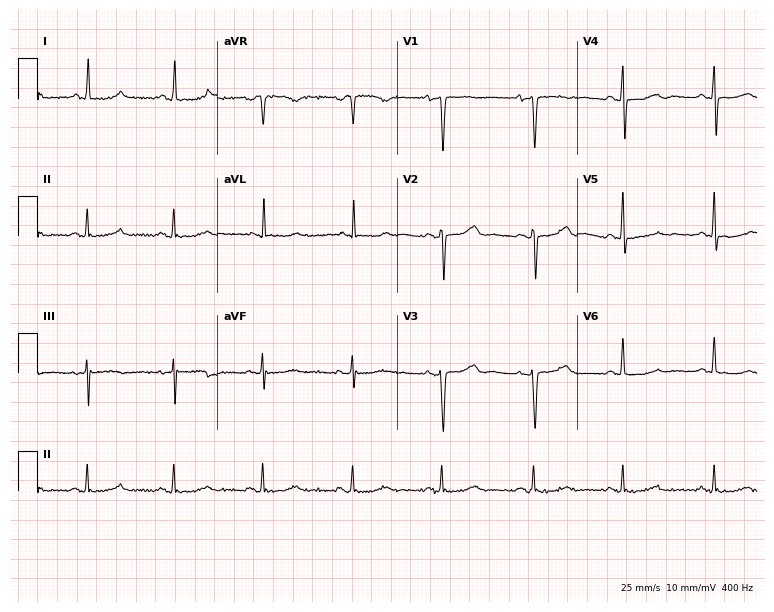
ECG — a 51-year-old woman. Labelled as a normal ECG.